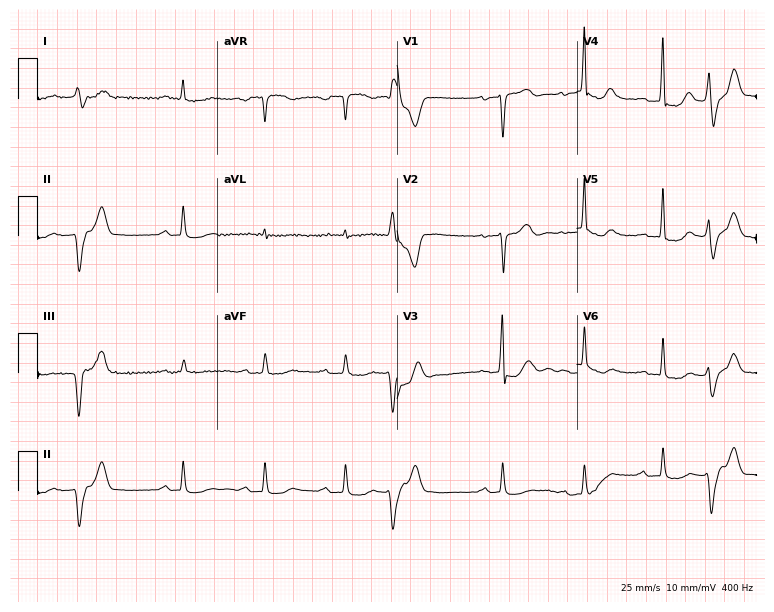
Resting 12-lead electrocardiogram. Patient: a 79-year-old male. None of these six findings is recorded: first-degree AV block, right bundle branch block, left bundle branch block, sinus bradycardia, atrial fibrillation, sinus tachycardia. Findings outside these six are not listed.